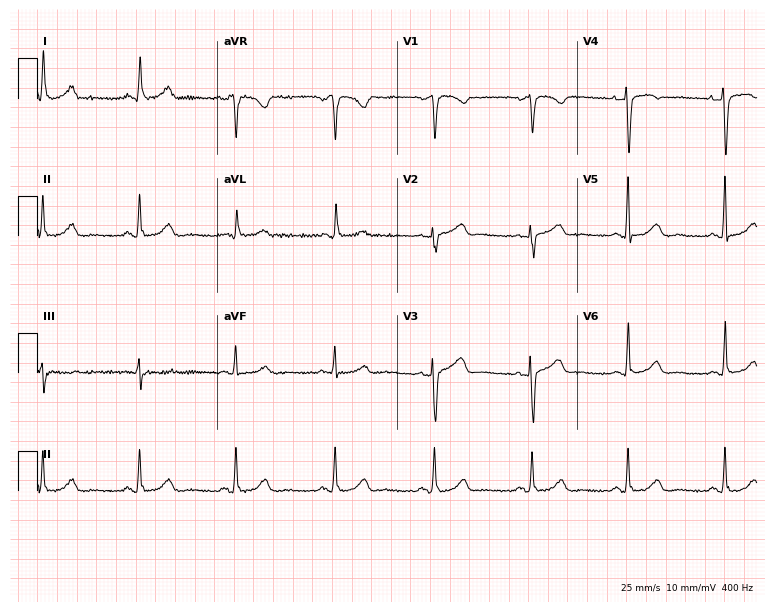
Resting 12-lead electrocardiogram. Patient: a 47-year-old female. Read as a normal ECG.